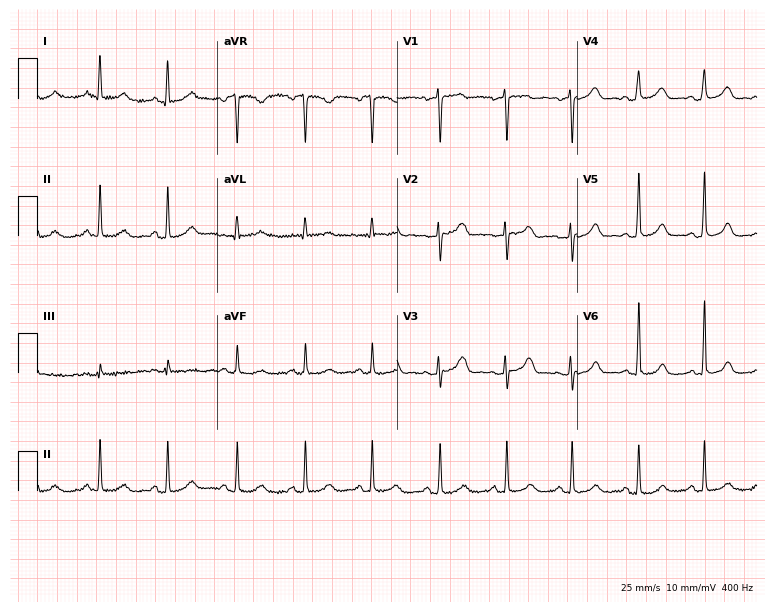
12-lead ECG (7.3-second recording at 400 Hz) from a 38-year-old female. Screened for six findings — first-degree AV block, right bundle branch block, left bundle branch block, sinus bradycardia, atrial fibrillation, sinus tachycardia — none is recorded.